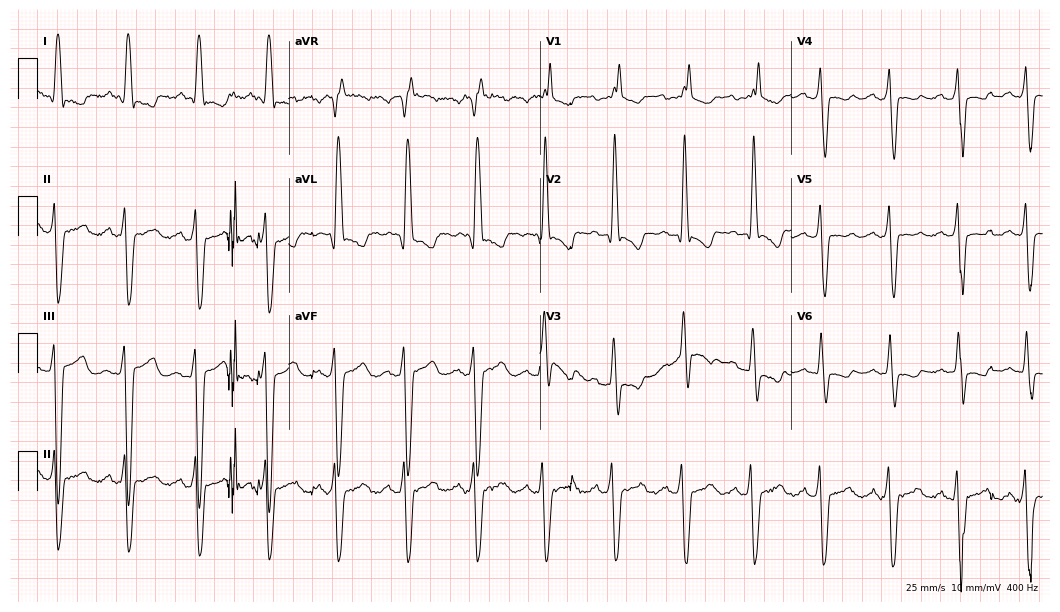
Standard 12-lead ECG recorded from a 51-year-old female (10.2-second recording at 400 Hz). The tracing shows right bundle branch block.